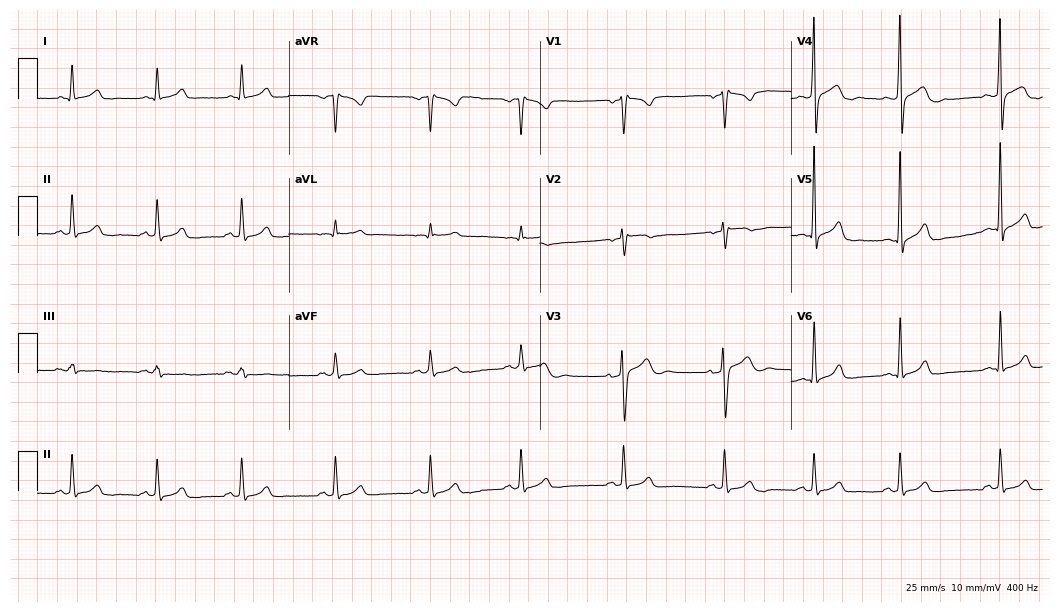
ECG (10.2-second recording at 400 Hz) — a male patient, 21 years old. Labelled as a normal ECG.